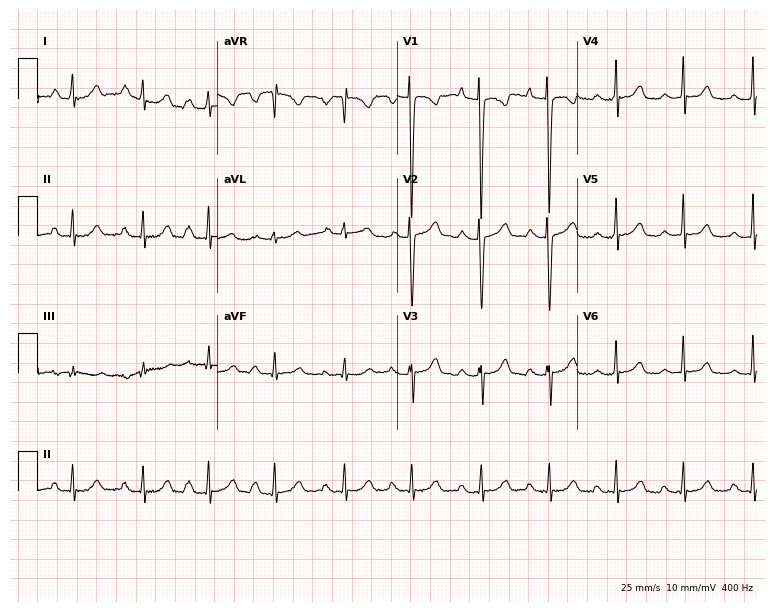
Resting 12-lead electrocardiogram (7.3-second recording at 400 Hz). Patient: a 77-year-old woman. The tracing shows first-degree AV block.